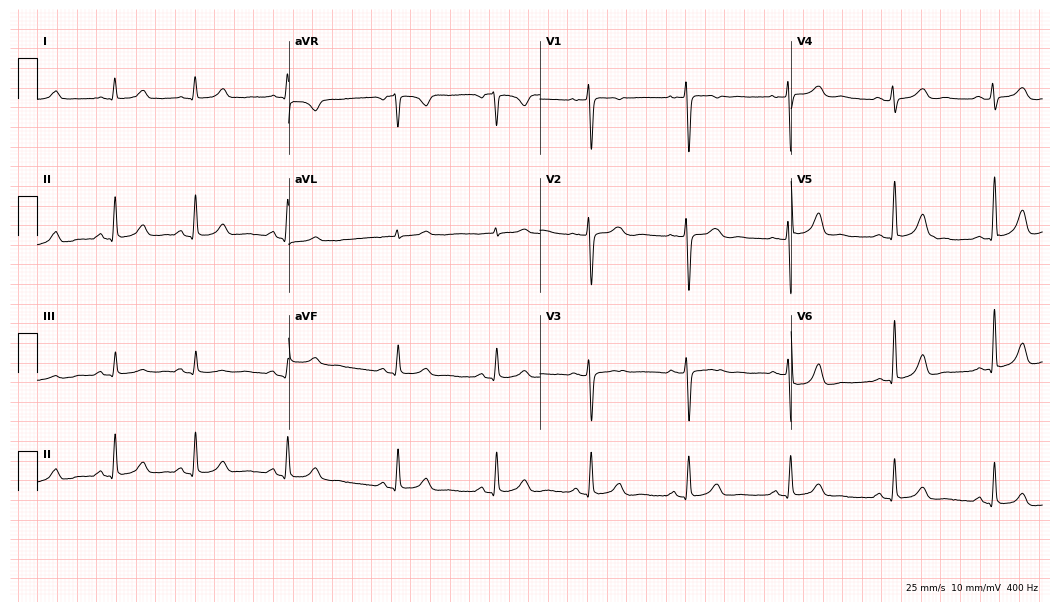
Resting 12-lead electrocardiogram. Patient: a 34-year-old female. Read as a normal ECG.